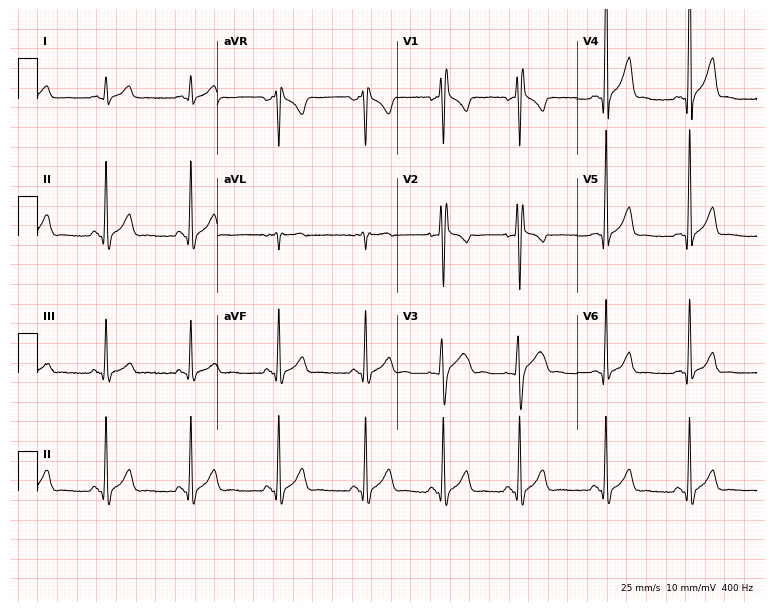
12-lead ECG from a 17-year-old man. Screened for six findings — first-degree AV block, right bundle branch block, left bundle branch block, sinus bradycardia, atrial fibrillation, sinus tachycardia — none is recorded. Findings outside these six are not listed.